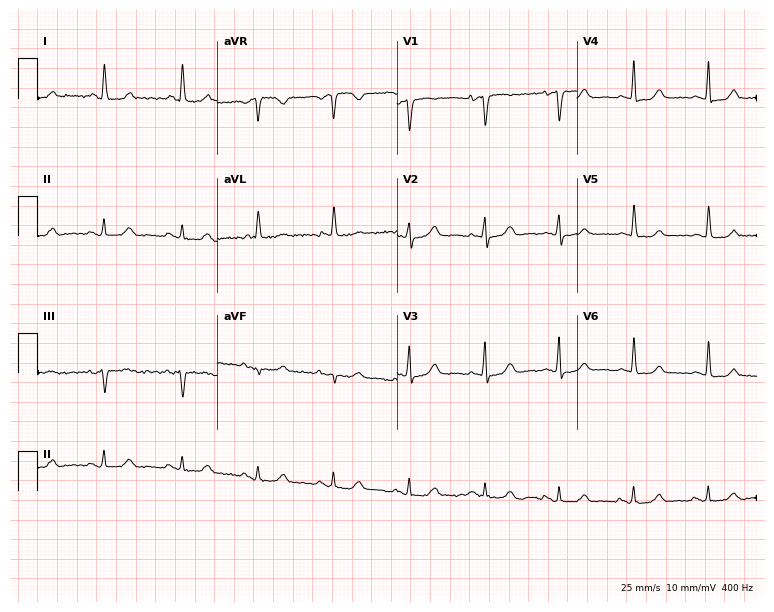
Resting 12-lead electrocardiogram (7.3-second recording at 400 Hz). Patient: a 69-year-old female. None of these six findings is recorded: first-degree AV block, right bundle branch block, left bundle branch block, sinus bradycardia, atrial fibrillation, sinus tachycardia.